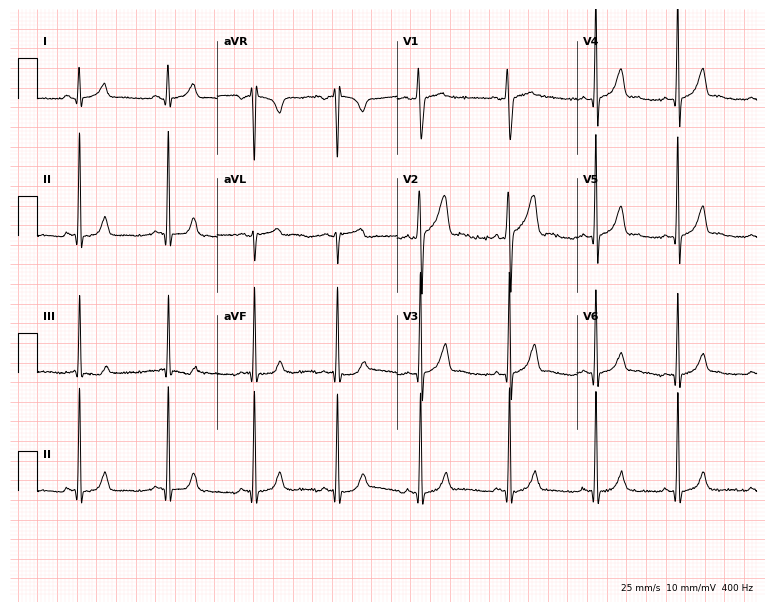
12-lead ECG from a 17-year-old man (7.3-second recording at 400 Hz). Recorded interpretation: within normal limits.